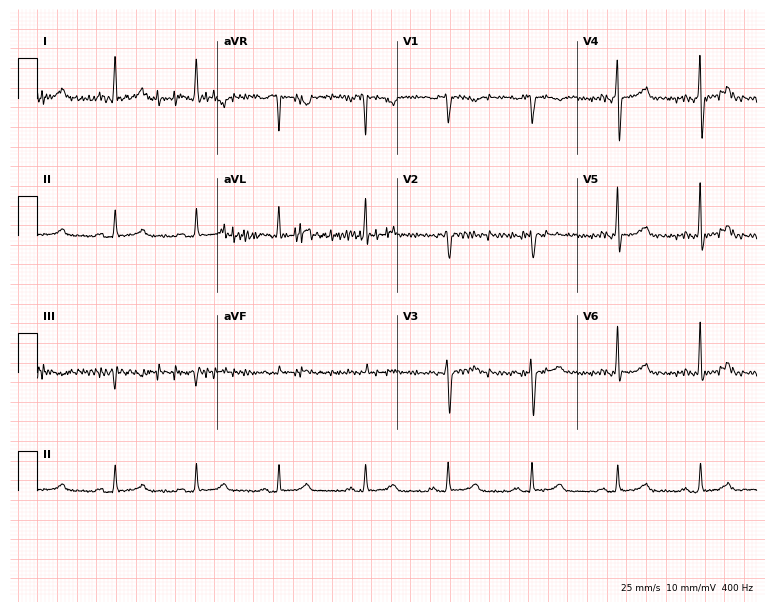
Electrocardiogram (7.3-second recording at 400 Hz), a woman, 61 years old. Overall reading on record: normal ECG.